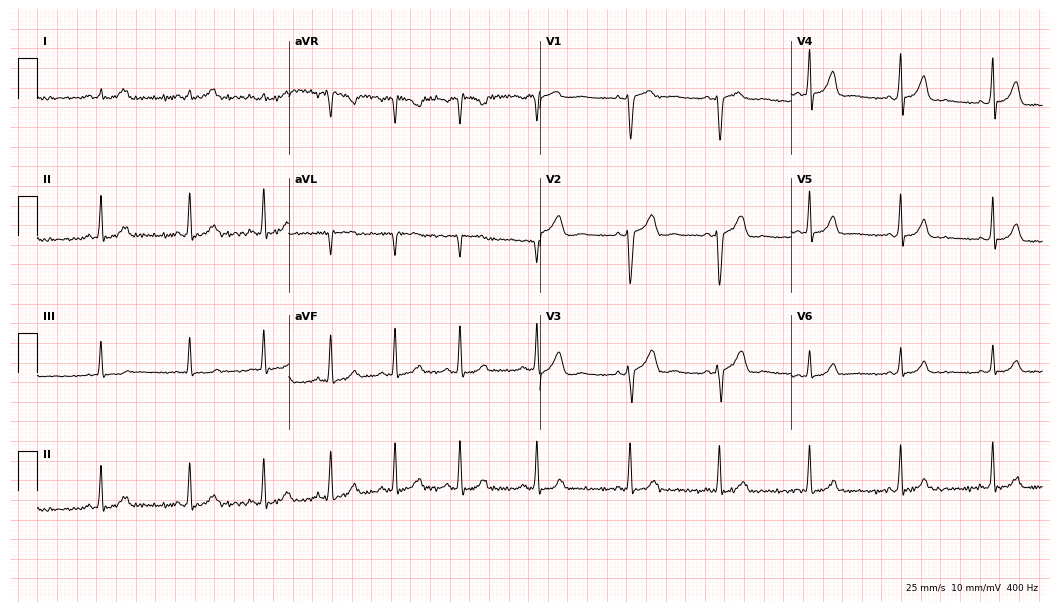
12-lead ECG from a female, 32 years old (10.2-second recording at 400 Hz). No first-degree AV block, right bundle branch block, left bundle branch block, sinus bradycardia, atrial fibrillation or sinus tachycardia recorded for this tracing.